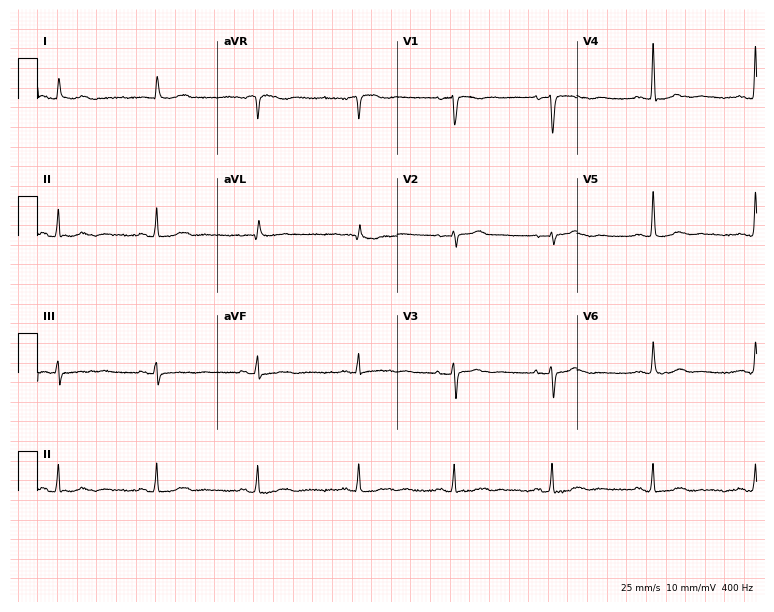
Standard 12-lead ECG recorded from a woman, 85 years old (7.3-second recording at 400 Hz). None of these six findings is recorded: first-degree AV block, right bundle branch block (RBBB), left bundle branch block (LBBB), sinus bradycardia, atrial fibrillation (AF), sinus tachycardia.